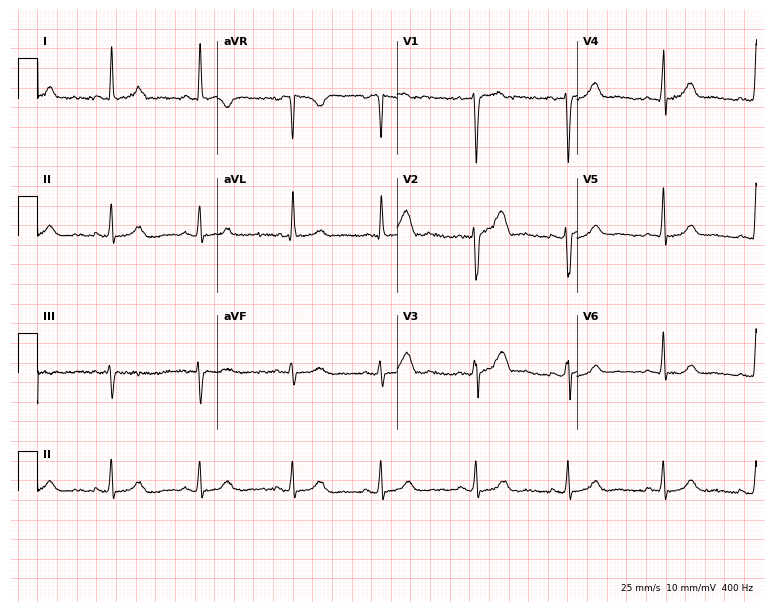
Resting 12-lead electrocardiogram (7.3-second recording at 400 Hz). Patient: a woman, 38 years old. Read as a normal ECG.